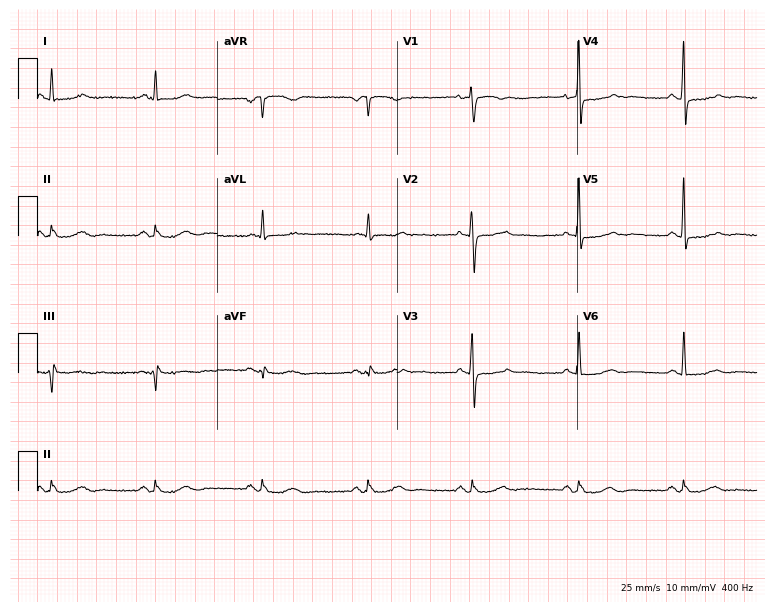
Electrocardiogram (7.3-second recording at 400 Hz), a female, 63 years old. Of the six screened findings (first-degree AV block, right bundle branch block, left bundle branch block, sinus bradycardia, atrial fibrillation, sinus tachycardia), none is recorded. Findings outside these six are not listed.